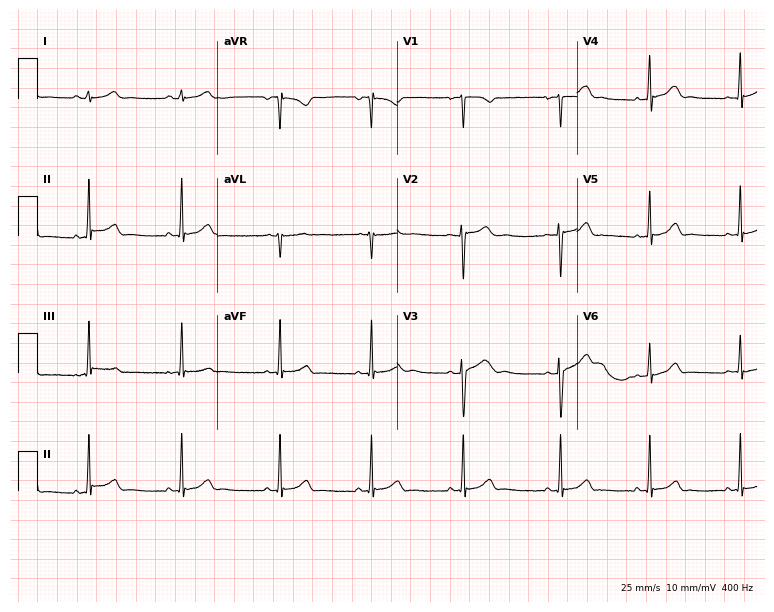
Resting 12-lead electrocardiogram (7.3-second recording at 400 Hz). Patient: a 20-year-old woman. None of these six findings is recorded: first-degree AV block, right bundle branch block, left bundle branch block, sinus bradycardia, atrial fibrillation, sinus tachycardia. Findings outside these six are not listed.